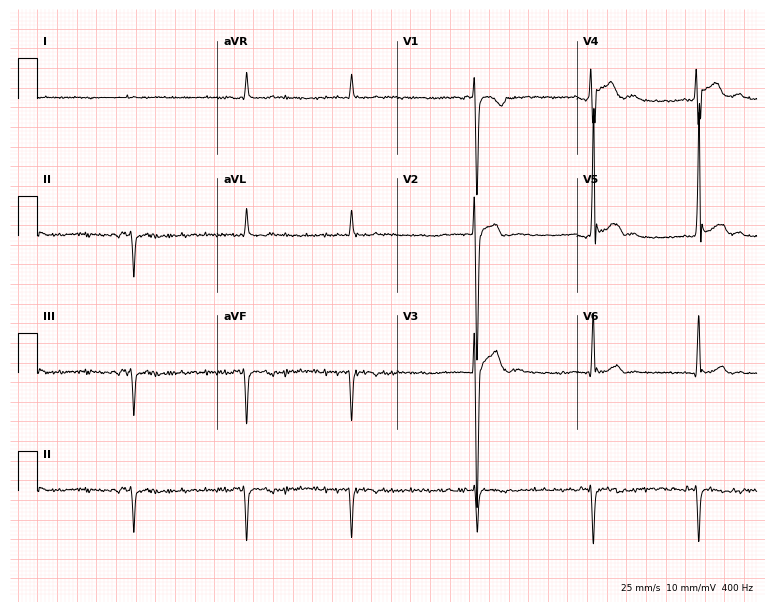
ECG (7.3-second recording at 400 Hz) — a man, 18 years old. Screened for six findings — first-degree AV block, right bundle branch block, left bundle branch block, sinus bradycardia, atrial fibrillation, sinus tachycardia — none is recorded. Findings outside these six are not listed.